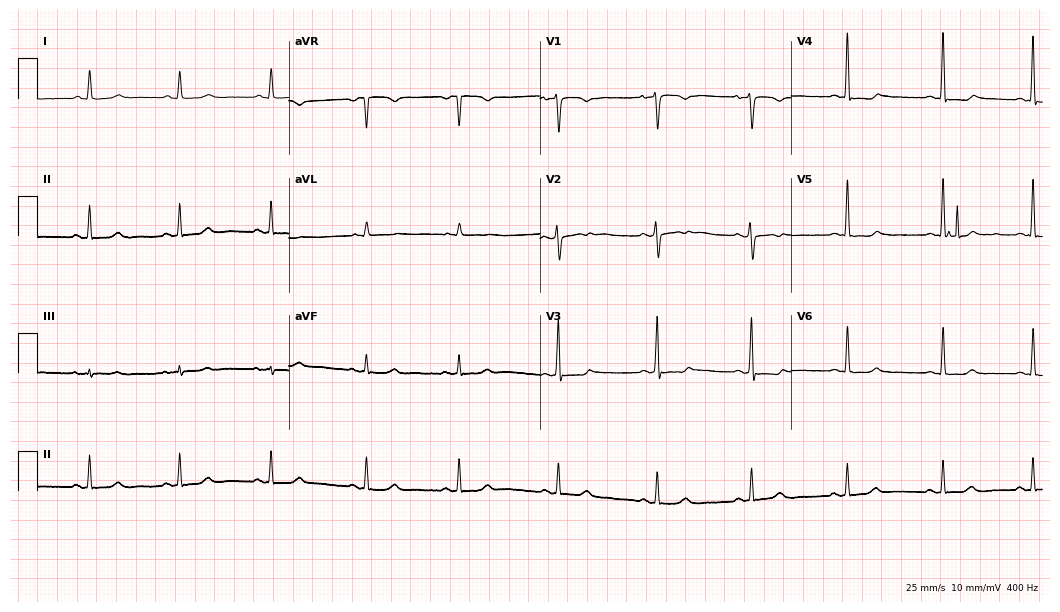
12-lead ECG (10.2-second recording at 400 Hz) from a woman, 47 years old. Screened for six findings — first-degree AV block, right bundle branch block (RBBB), left bundle branch block (LBBB), sinus bradycardia, atrial fibrillation (AF), sinus tachycardia — none is recorded.